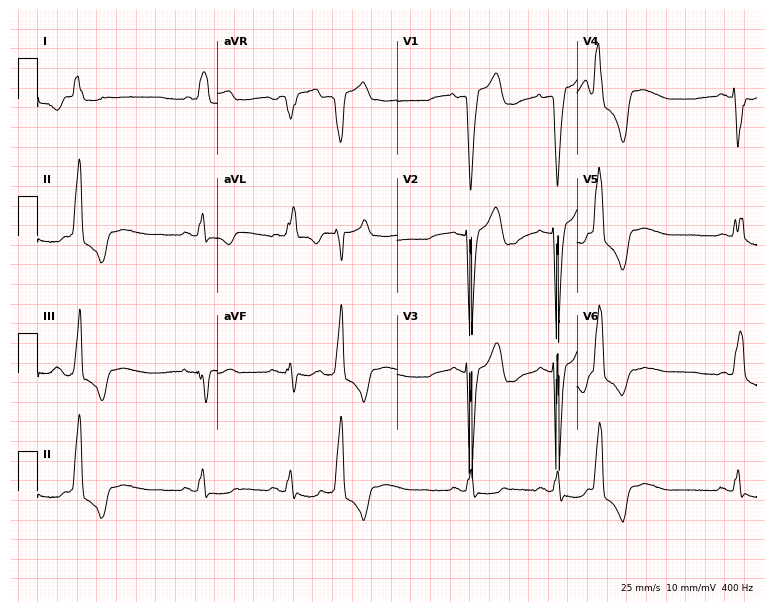
Electrocardiogram (7.3-second recording at 400 Hz), a 77-year-old man. Interpretation includes left bundle branch block.